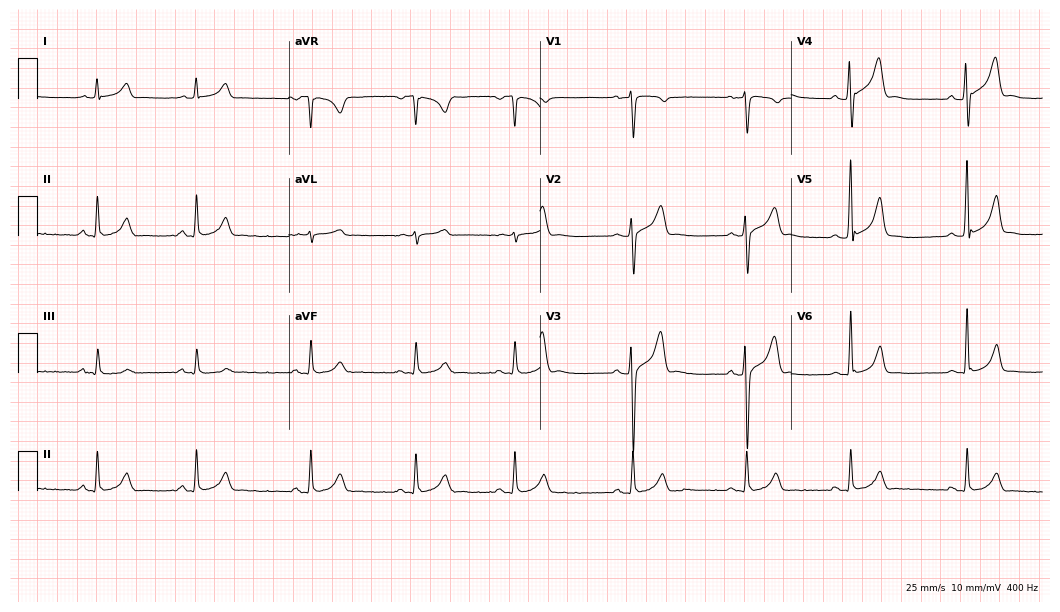
Resting 12-lead electrocardiogram. Patient: a 23-year-old man. None of these six findings is recorded: first-degree AV block, right bundle branch block, left bundle branch block, sinus bradycardia, atrial fibrillation, sinus tachycardia. Findings outside these six are not listed.